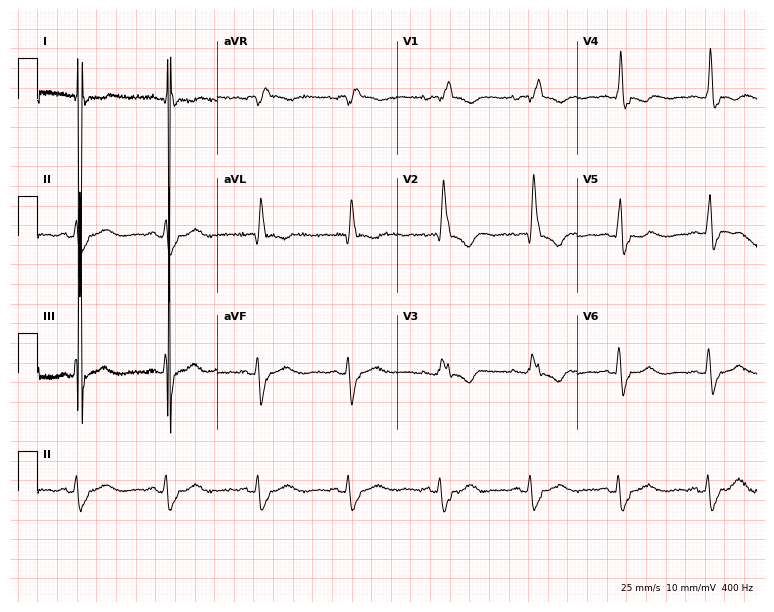
12-lead ECG (7.3-second recording at 400 Hz) from a 70-year-old woman. Findings include right bundle branch block.